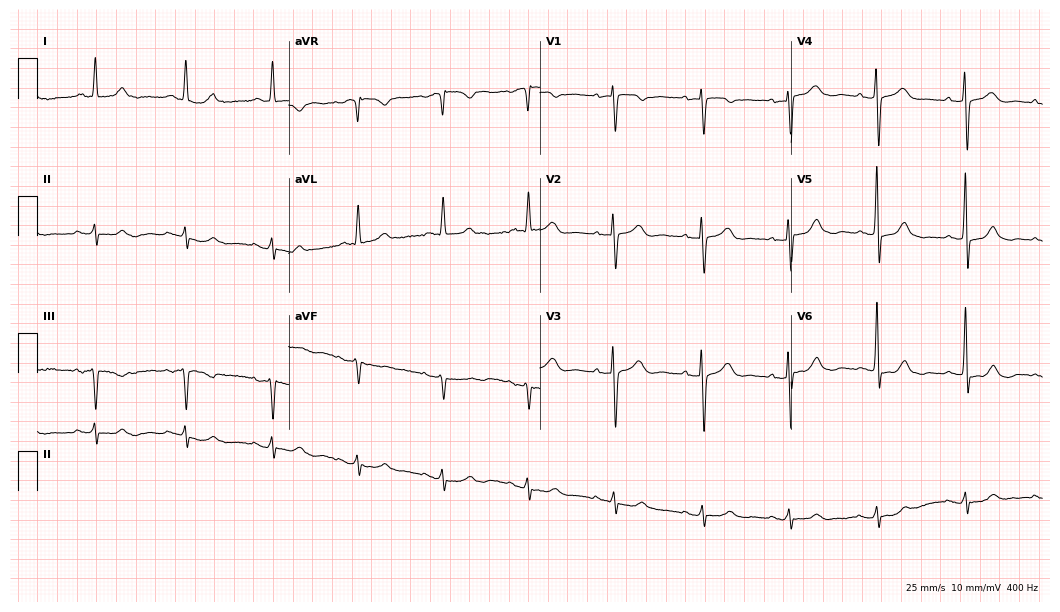
12-lead ECG from a female, 80 years old (10.2-second recording at 400 Hz). Recorded interpretation: within normal limits.